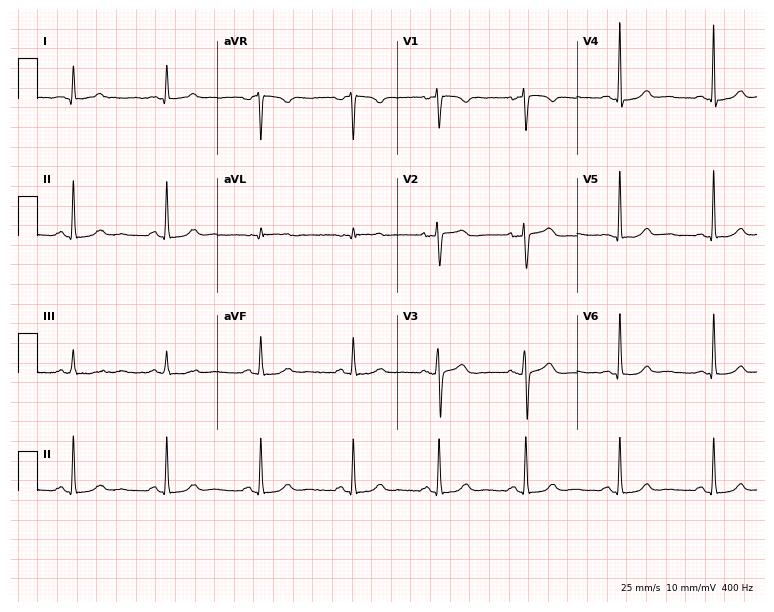
ECG (7.3-second recording at 400 Hz) — a female patient, 43 years old. Labelled as a normal ECG.